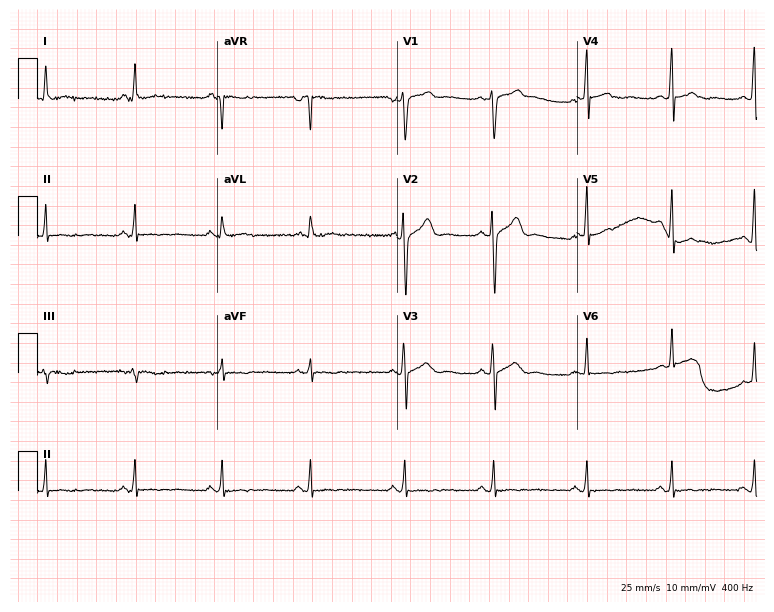
Resting 12-lead electrocardiogram (7.3-second recording at 400 Hz). Patient: a 38-year-old male. None of these six findings is recorded: first-degree AV block, right bundle branch block, left bundle branch block, sinus bradycardia, atrial fibrillation, sinus tachycardia.